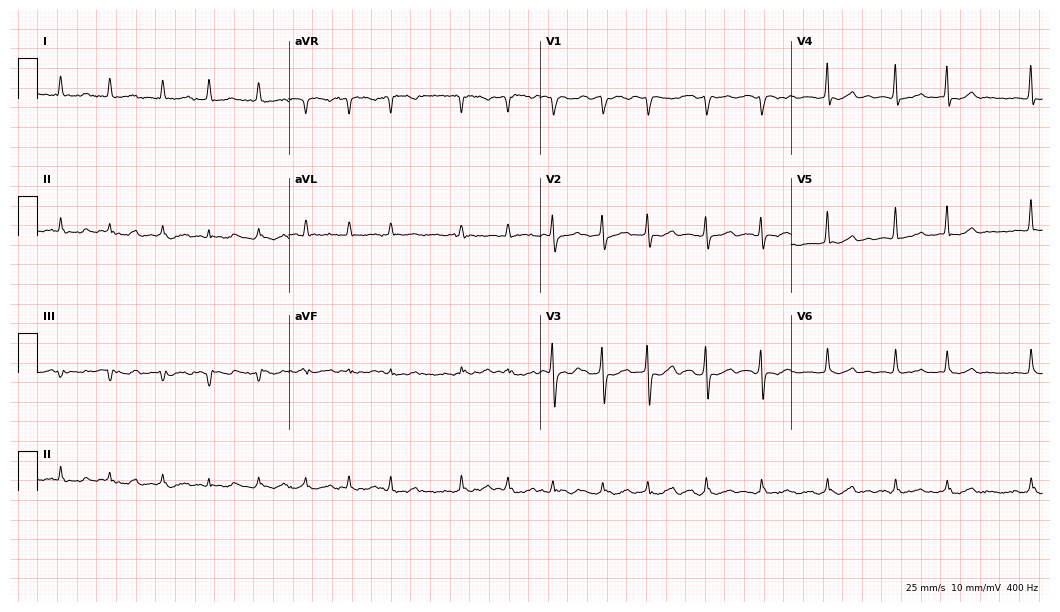
ECG — a female patient, 69 years old. Findings include atrial fibrillation (AF).